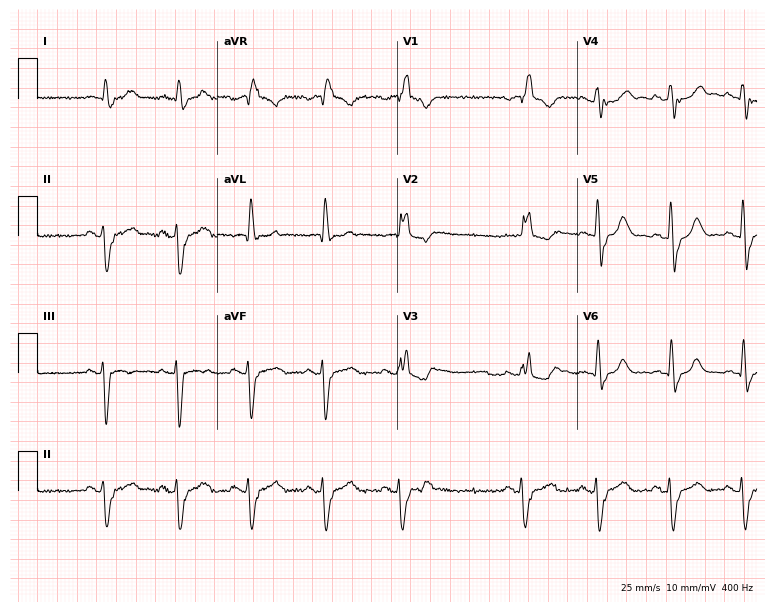
12-lead ECG from a 79-year-old male (7.3-second recording at 400 Hz). Shows right bundle branch block (RBBB).